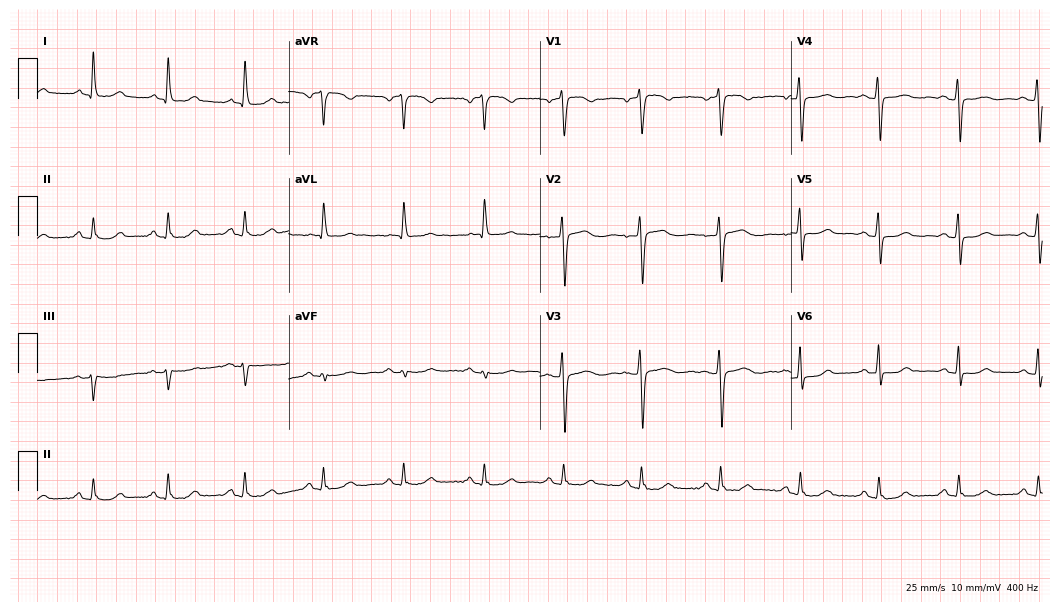
ECG (10.2-second recording at 400 Hz) — a 64-year-old female. Screened for six findings — first-degree AV block, right bundle branch block, left bundle branch block, sinus bradycardia, atrial fibrillation, sinus tachycardia — none is recorded.